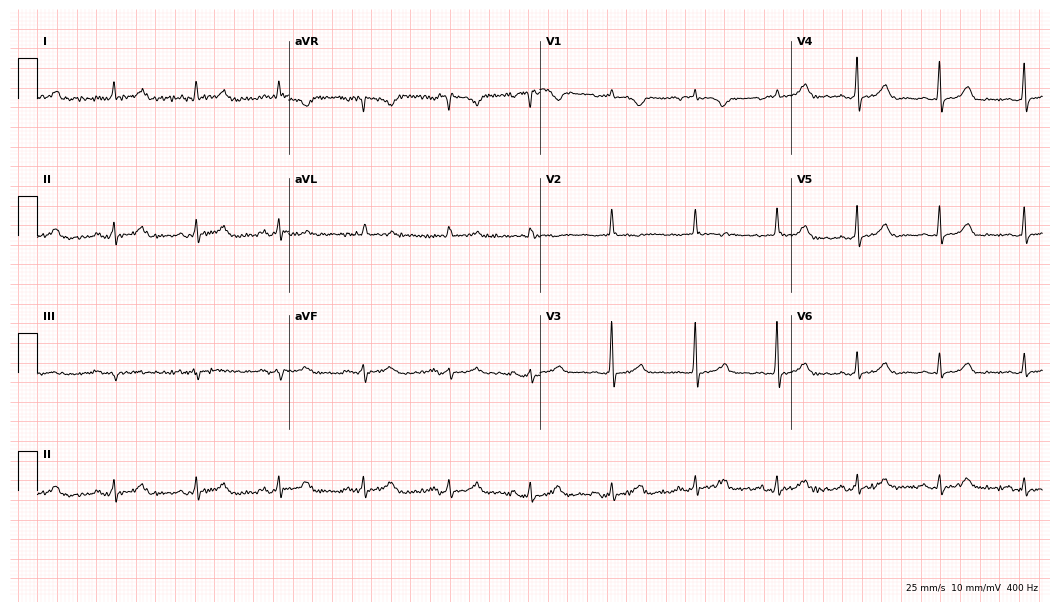
12-lead ECG (10.2-second recording at 400 Hz) from a female patient, 80 years old. Screened for six findings — first-degree AV block, right bundle branch block, left bundle branch block, sinus bradycardia, atrial fibrillation, sinus tachycardia — none is recorded.